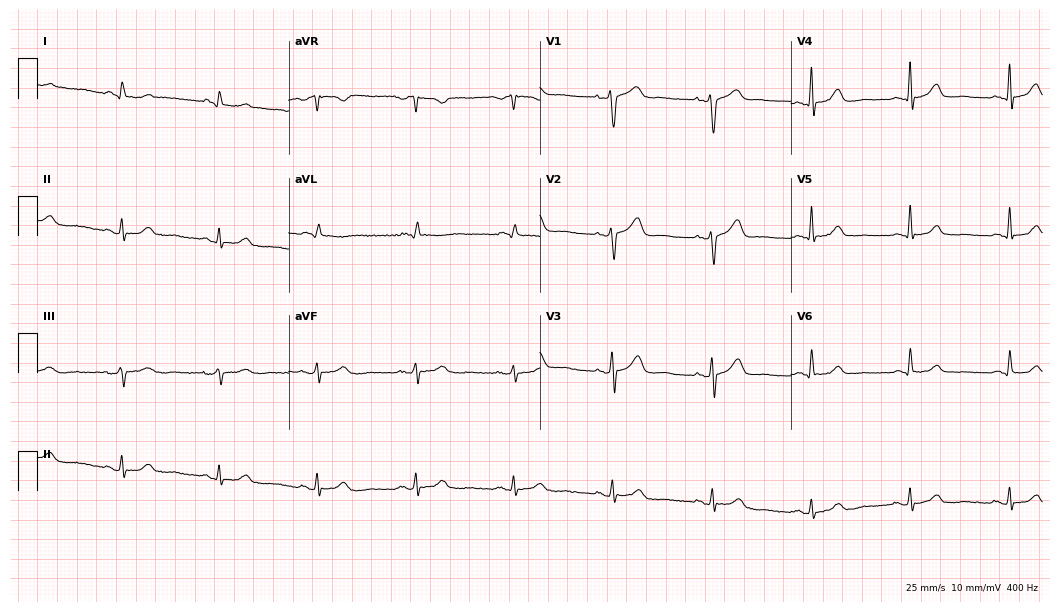
12-lead ECG from a 71-year-old male. No first-degree AV block, right bundle branch block, left bundle branch block, sinus bradycardia, atrial fibrillation or sinus tachycardia recorded for this tracing. Findings outside these six are not listed.